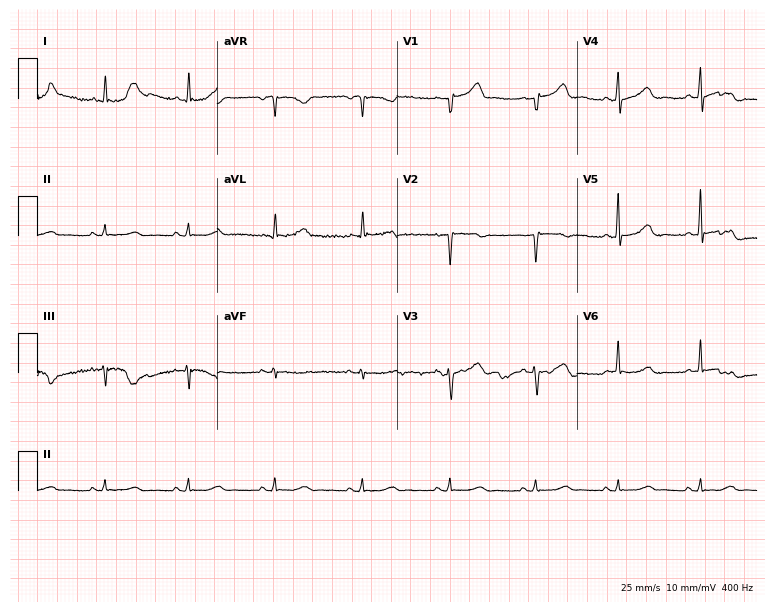
12-lead ECG from a female, 55 years old (7.3-second recording at 400 Hz). No first-degree AV block, right bundle branch block, left bundle branch block, sinus bradycardia, atrial fibrillation or sinus tachycardia recorded for this tracing. Only these six findings were labelled.